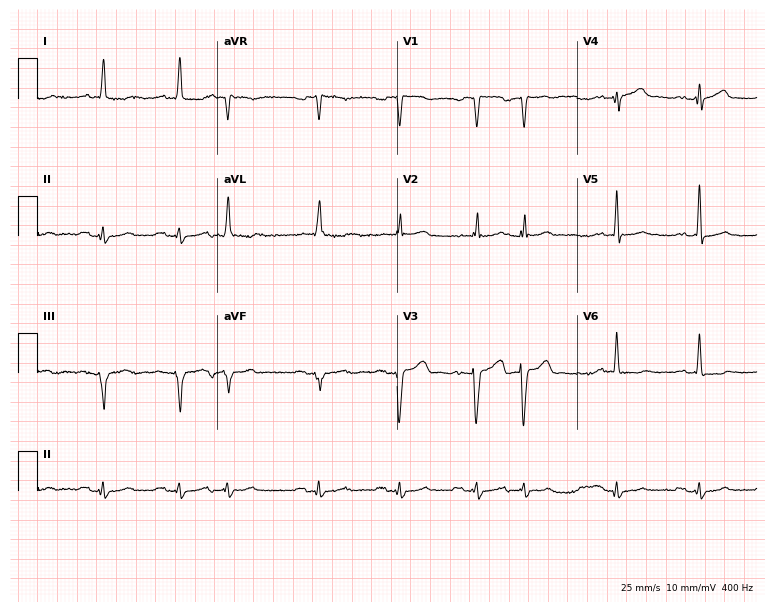
Resting 12-lead electrocardiogram. Patient: a 76-year-old man. None of these six findings is recorded: first-degree AV block, right bundle branch block (RBBB), left bundle branch block (LBBB), sinus bradycardia, atrial fibrillation (AF), sinus tachycardia. Findings outside these six are not listed.